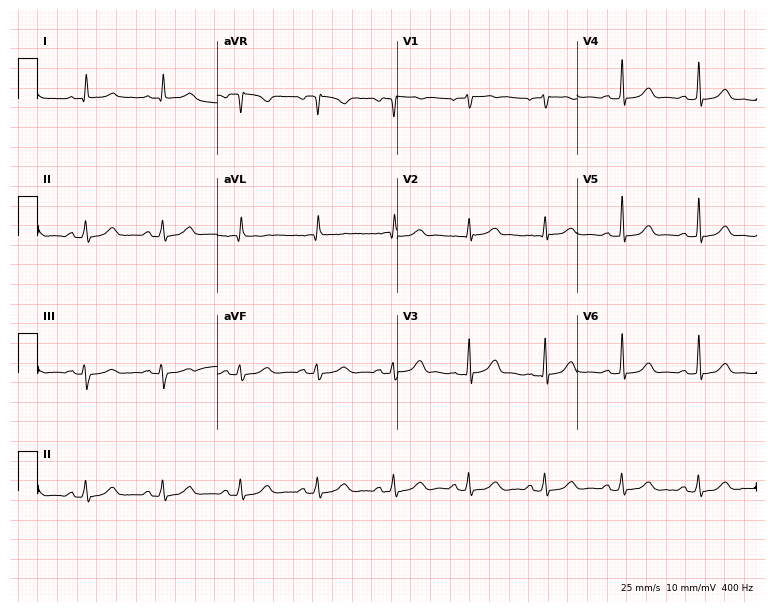
12-lead ECG from a 55-year-old woman (7.3-second recording at 400 Hz). No first-degree AV block, right bundle branch block, left bundle branch block, sinus bradycardia, atrial fibrillation or sinus tachycardia recorded for this tracing. Findings outside these six are not listed.